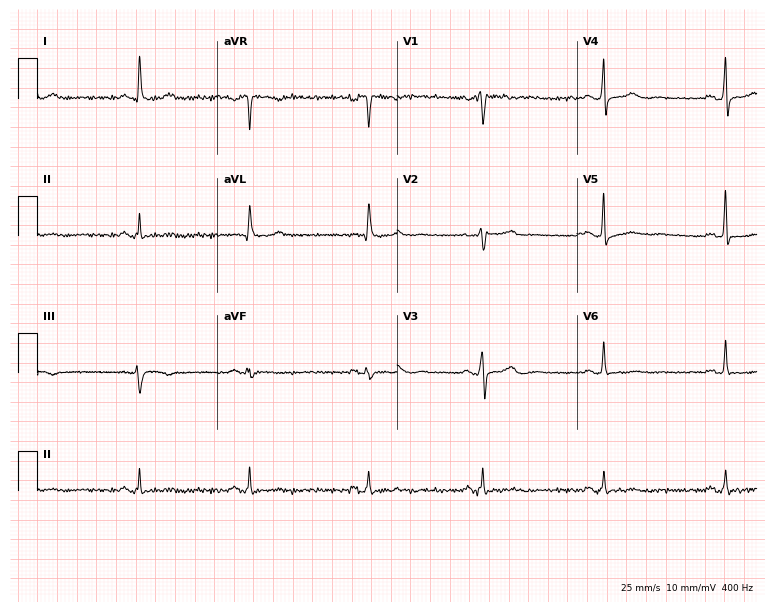
Electrocardiogram, a female, 52 years old. Of the six screened findings (first-degree AV block, right bundle branch block (RBBB), left bundle branch block (LBBB), sinus bradycardia, atrial fibrillation (AF), sinus tachycardia), none is recorded.